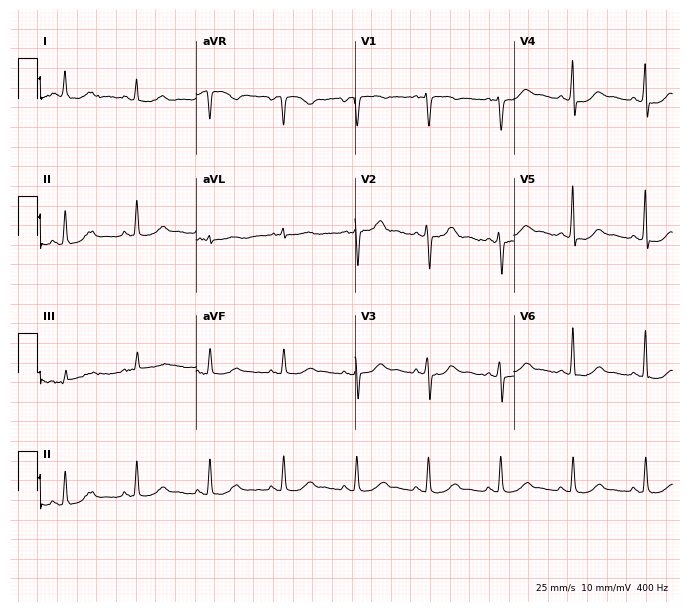
Resting 12-lead electrocardiogram (6.5-second recording at 400 Hz). Patient: a 51-year-old female. Read as a normal ECG.